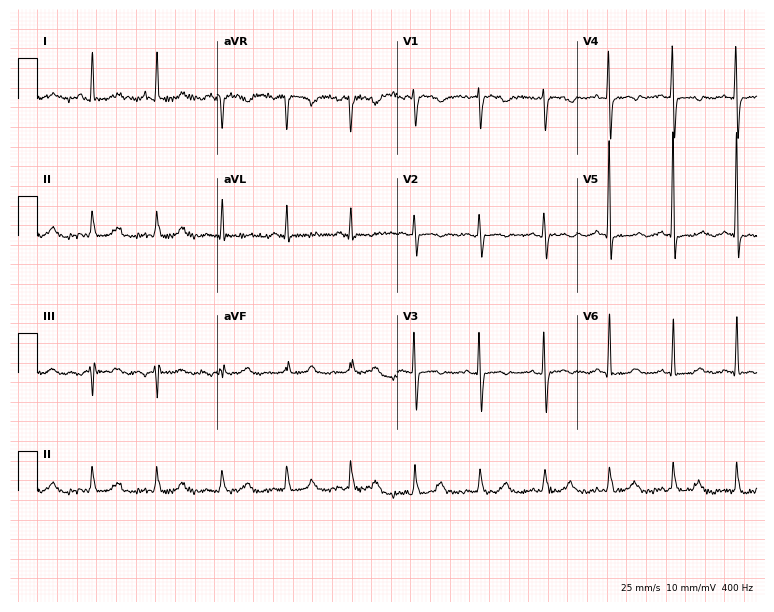
Resting 12-lead electrocardiogram (7.3-second recording at 400 Hz). Patient: a female, 76 years old. None of these six findings is recorded: first-degree AV block, right bundle branch block (RBBB), left bundle branch block (LBBB), sinus bradycardia, atrial fibrillation (AF), sinus tachycardia.